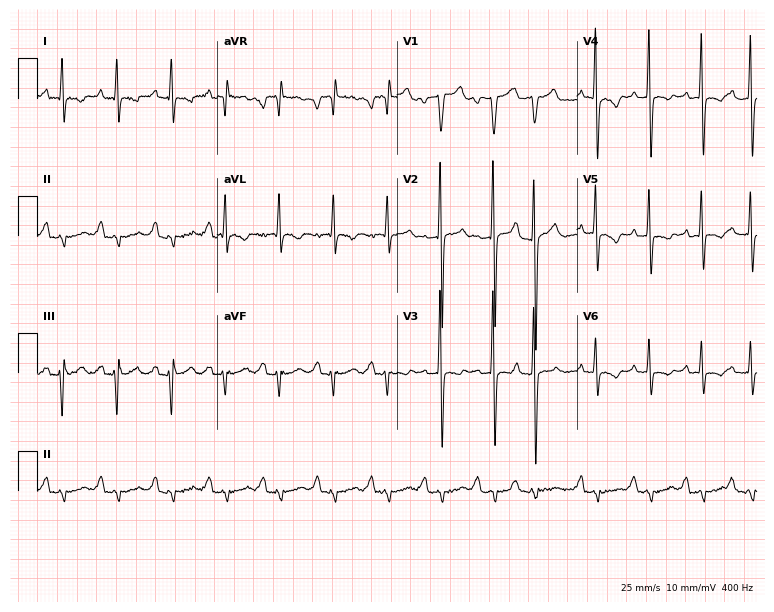
Resting 12-lead electrocardiogram. Patient: a 56-year-old male. None of these six findings is recorded: first-degree AV block, right bundle branch block, left bundle branch block, sinus bradycardia, atrial fibrillation, sinus tachycardia.